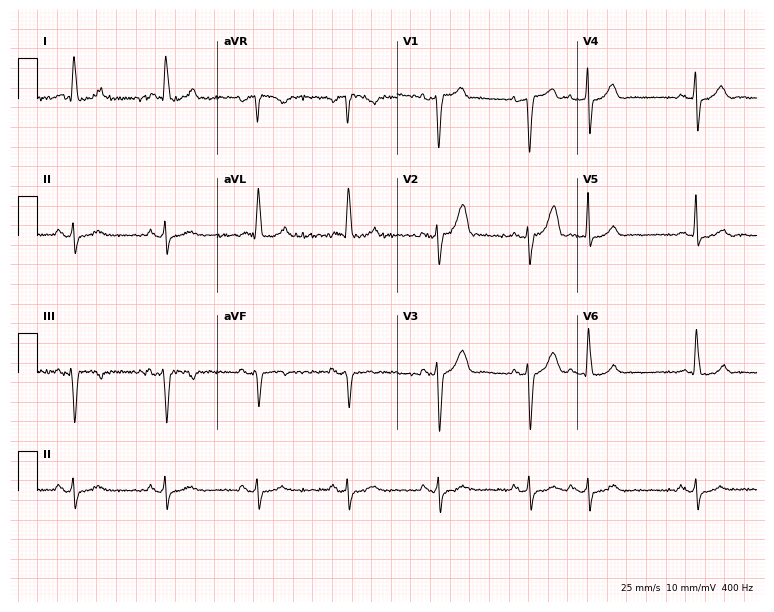
Resting 12-lead electrocardiogram (7.3-second recording at 400 Hz). Patient: a male, 83 years old. None of these six findings is recorded: first-degree AV block, right bundle branch block, left bundle branch block, sinus bradycardia, atrial fibrillation, sinus tachycardia. Other findings, if any, are not listed.